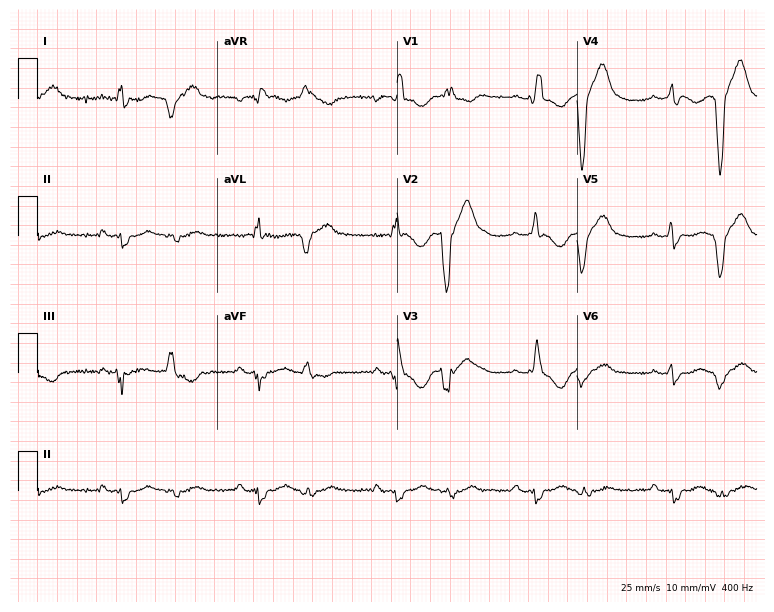
ECG (7.3-second recording at 400 Hz) — a 44-year-old female patient. Findings include right bundle branch block (RBBB).